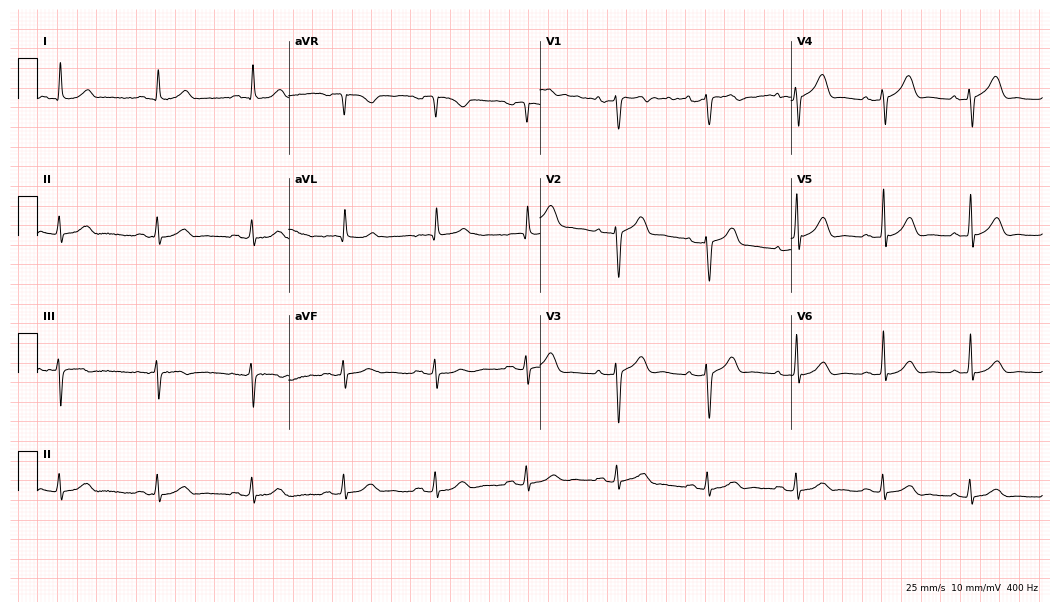
Standard 12-lead ECG recorded from a female patient, 76 years old (10.2-second recording at 400 Hz). Read as a normal ECG.